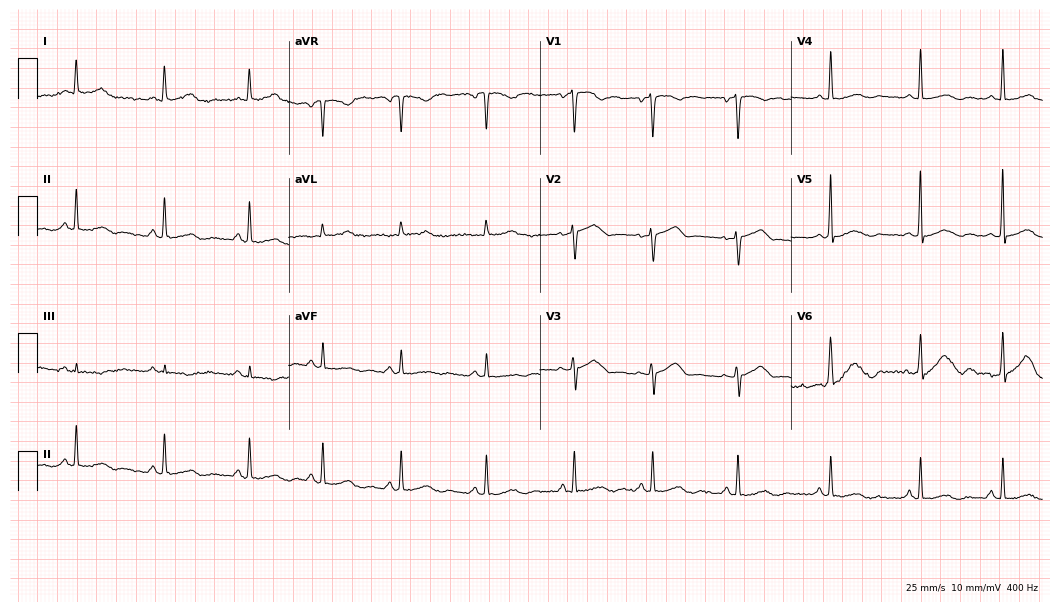
12-lead ECG (10.2-second recording at 400 Hz) from a woman, 37 years old. Labelled as a normal ECG.